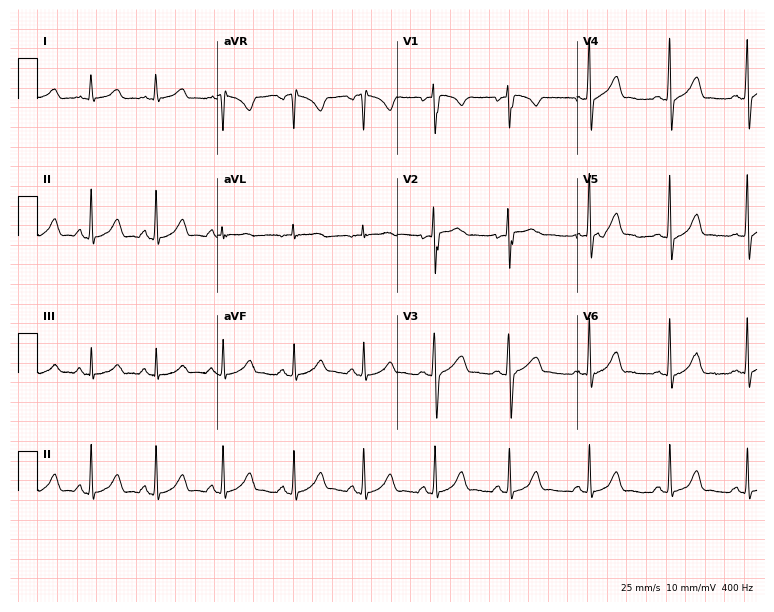
12-lead ECG (7.3-second recording at 400 Hz) from a 24-year-old female. Labelled as a normal ECG.